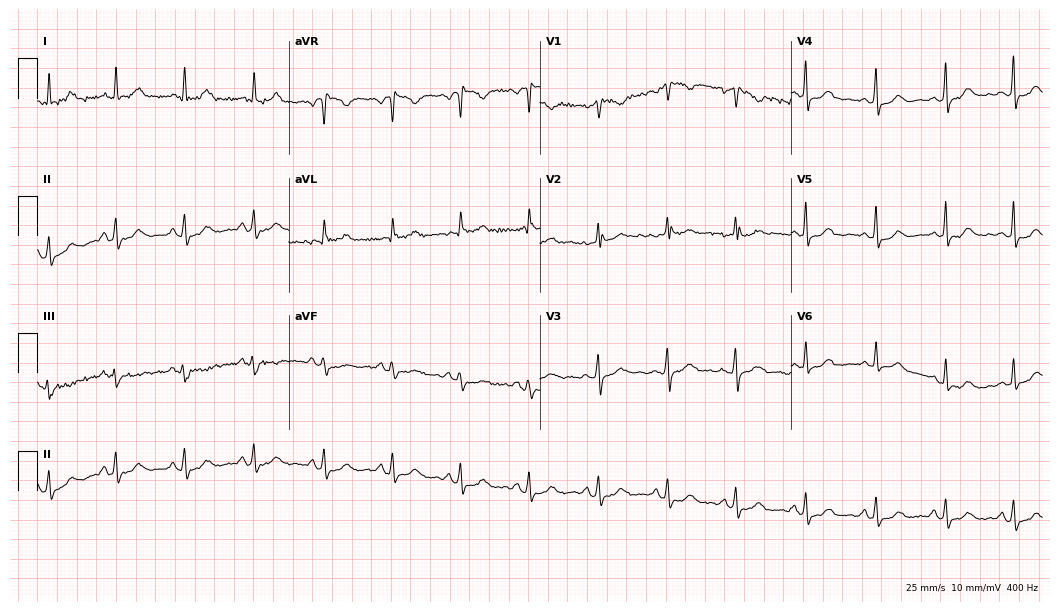
Standard 12-lead ECG recorded from a female patient, 45 years old. Read as a normal ECG.